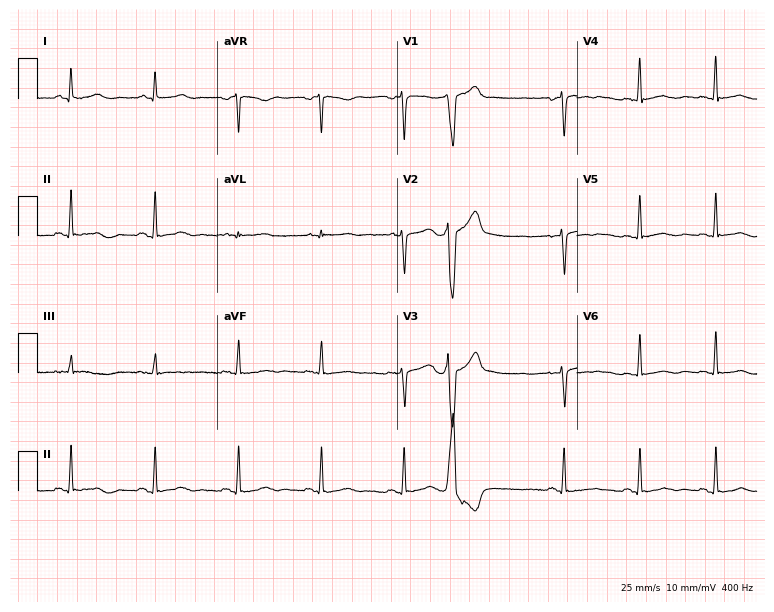
Electrocardiogram (7.3-second recording at 400 Hz), a 50-year-old female patient. Of the six screened findings (first-degree AV block, right bundle branch block (RBBB), left bundle branch block (LBBB), sinus bradycardia, atrial fibrillation (AF), sinus tachycardia), none is recorded.